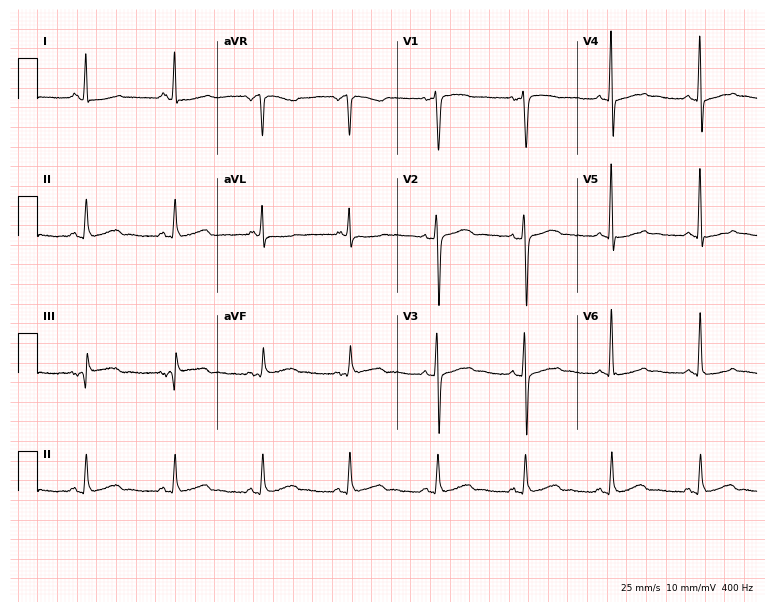
12-lead ECG from a 51-year-old female (7.3-second recording at 400 Hz). Recorded interpretation: within normal limits.